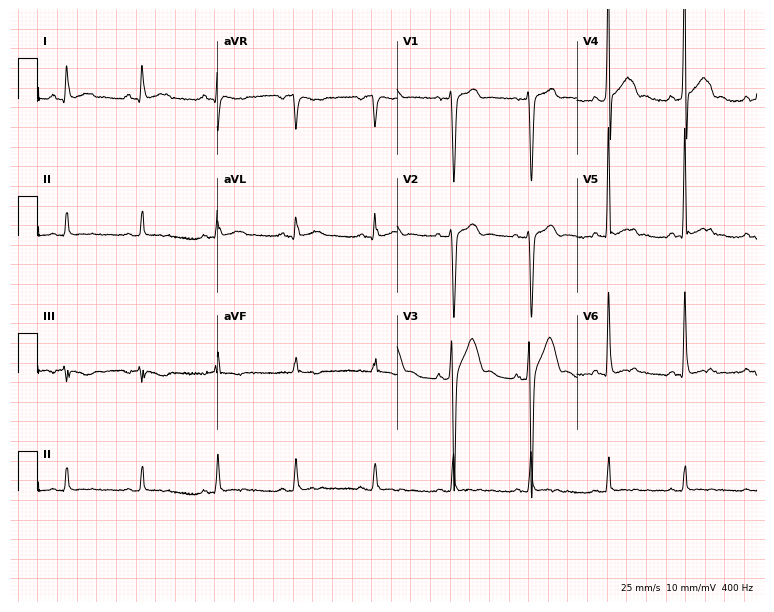
Electrocardiogram (7.3-second recording at 400 Hz), a man, 25 years old. Of the six screened findings (first-degree AV block, right bundle branch block, left bundle branch block, sinus bradycardia, atrial fibrillation, sinus tachycardia), none is recorded.